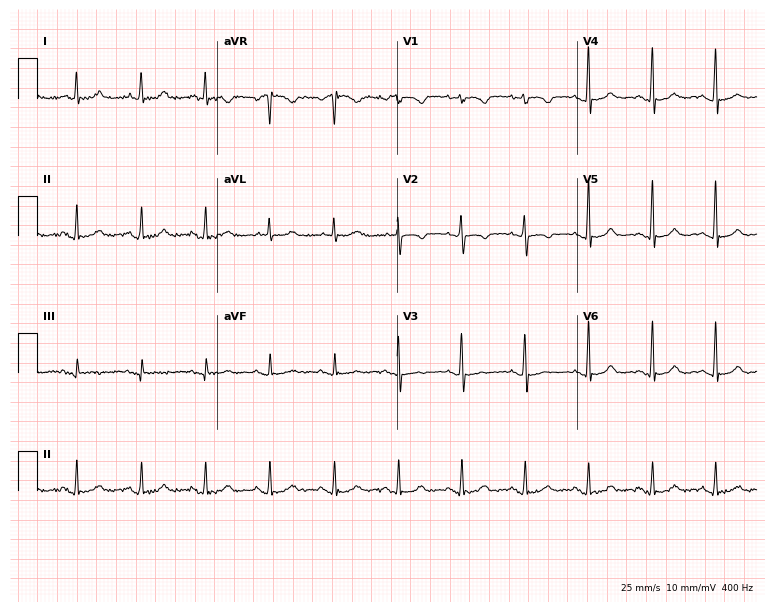
Standard 12-lead ECG recorded from a woman, 71 years old. None of these six findings is recorded: first-degree AV block, right bundle branch block (RBBB), left bundle branch block (LBBB), sinus bradycardia, atrial fibrillation (AF), sinus tachycardia.